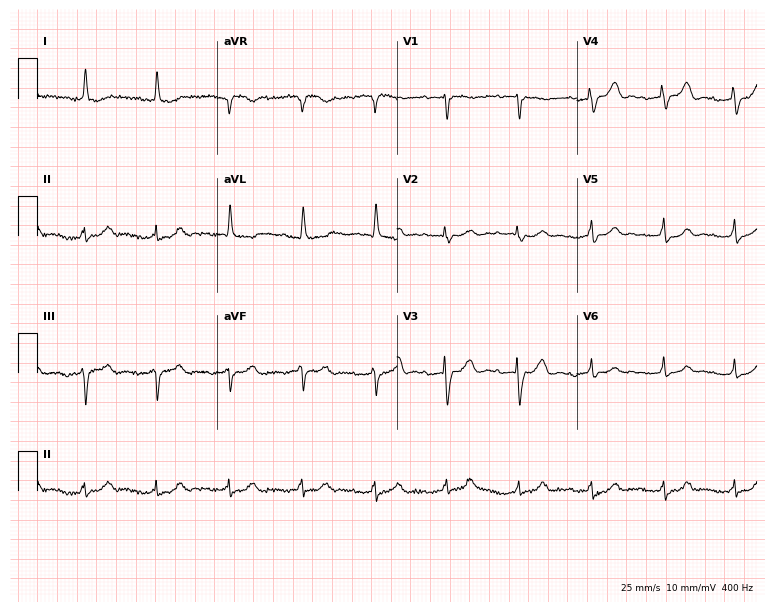
12-lead ECG (7.3-second recording at 400 Hz) from a woman, 79 years old. Screened for six findings — first-degree AV block, right bundle branch block, left bundle branch block, sinus bradycardia, atrial fibrillation, sinus tachycardia — none is recorded. Only these six findings were labelled.